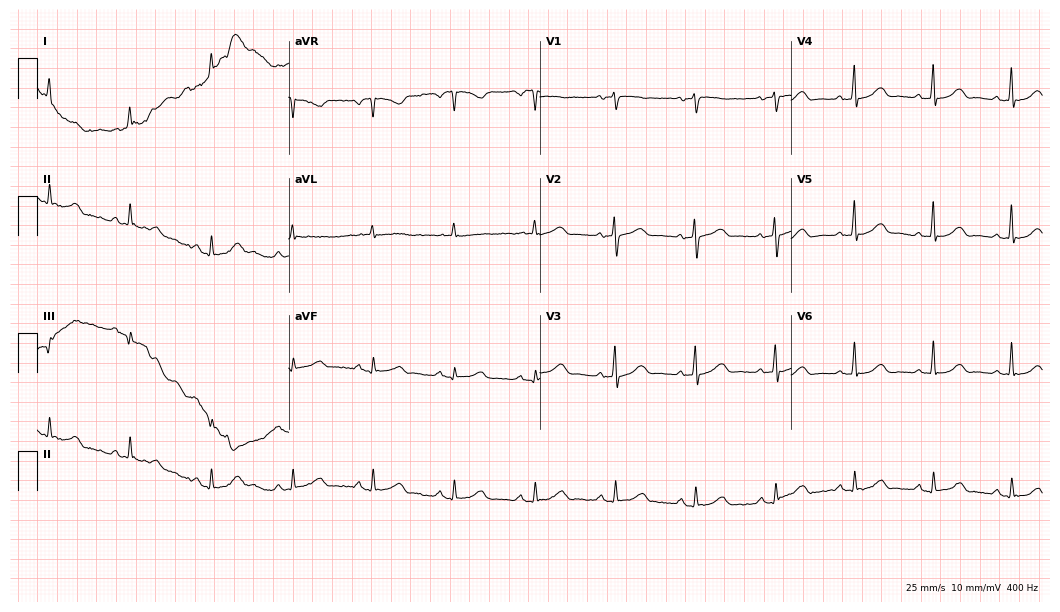
Resting 12-lead electrocardiogram. Patient: a woman, 83 years old. Read as a normal ECG.